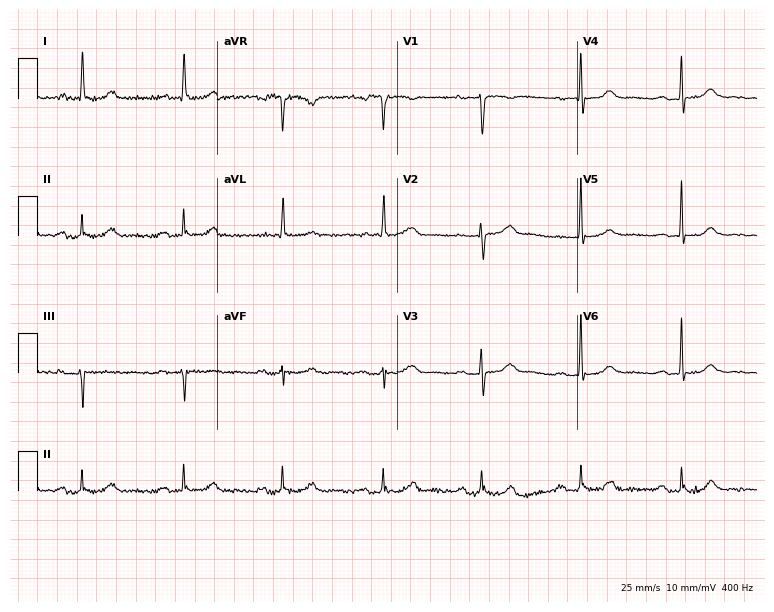
Standard 12-lead ECG recorded from a female, 84 years old. The tracing shows first-degree AV block.